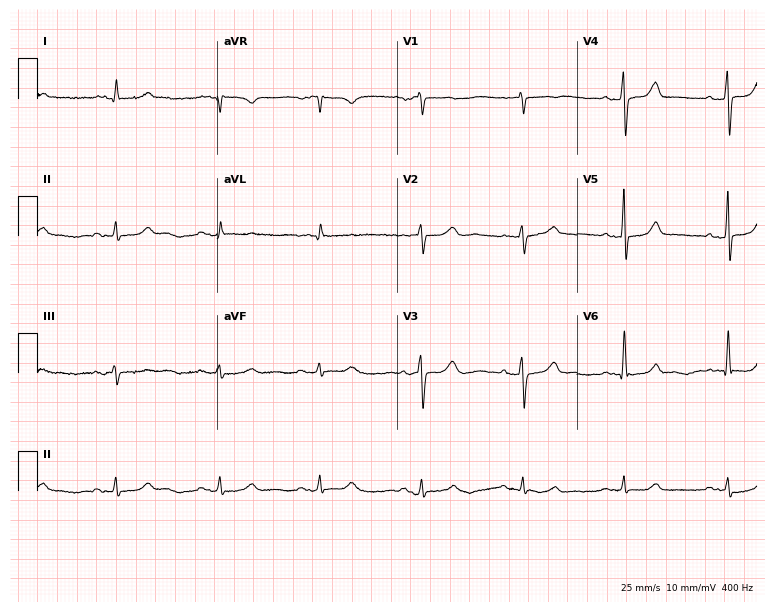
Resting 12-lead electrocardiogram. Patient: an 84-year-old female. Read as a normal ECG.